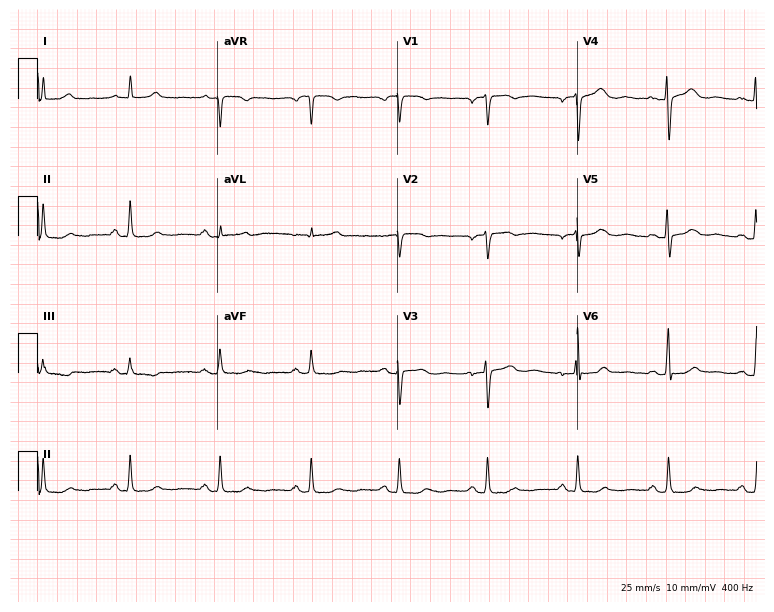
12-lead ECG from a woman, 42 years old. Screened for six findings — first-degree AV block, right bundle branch block, left bundle branch block, sinus bradycardia, atrial fibrillation, sinus tachycardia — none is recorded.